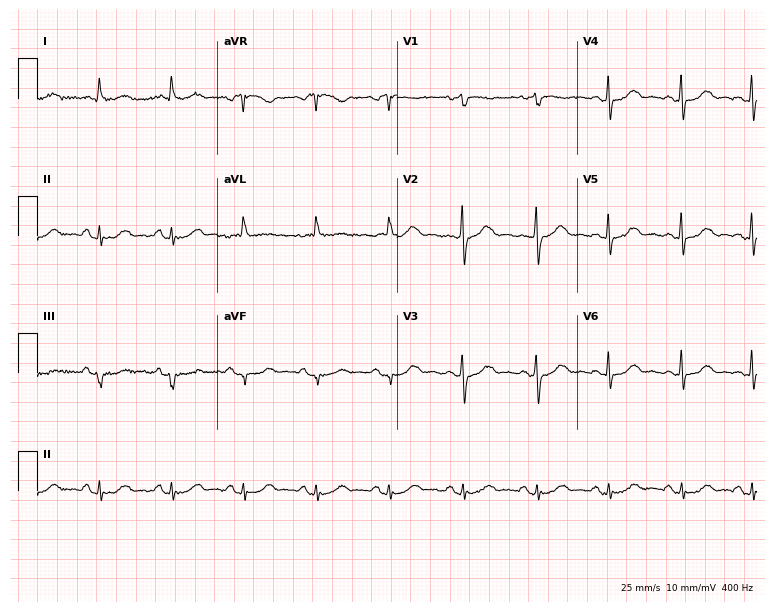
Resting 12-lead electrocardiogram (7.3-second recording at 400 Hz). Patient: a 75-year-old female. None of these six findings is recorded: first-degree AV block, right bundle branch block, left bundle branch block, sinus bradycardia, atrial fibrillation, sinus tachycardia. Only these six findings were labelled.